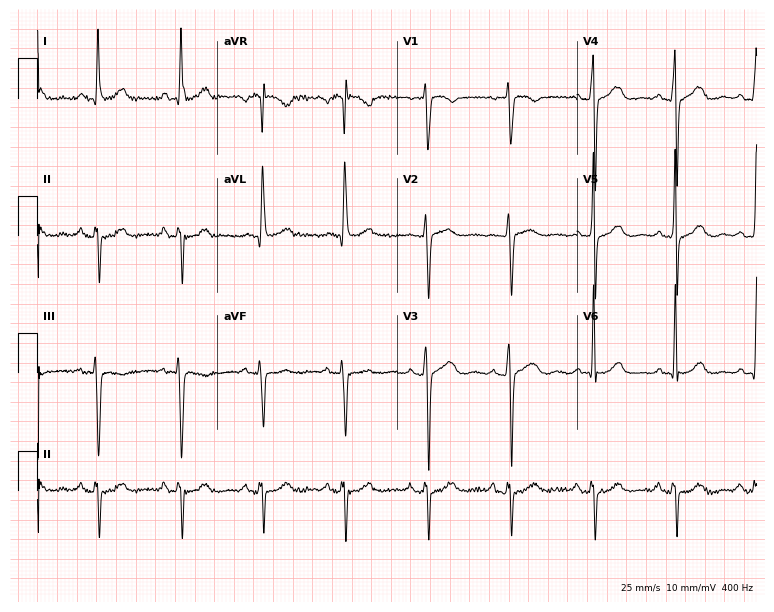
Standard 12-lead ECG recorded from a female patient, 68 years old. None of these six findings is recorded: first-degree AV block, right bundle branch block, left bundle branch block, sinus bradycardia, atrial fibrillation, sinus tachycardia.